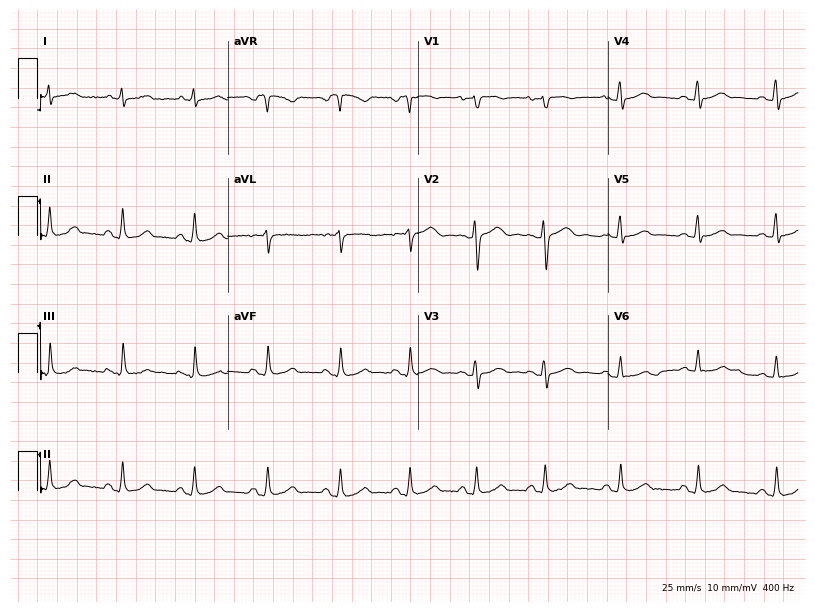
Electrocardiogram, a woman, 51 years old. Overall reading on record: normal ECG.